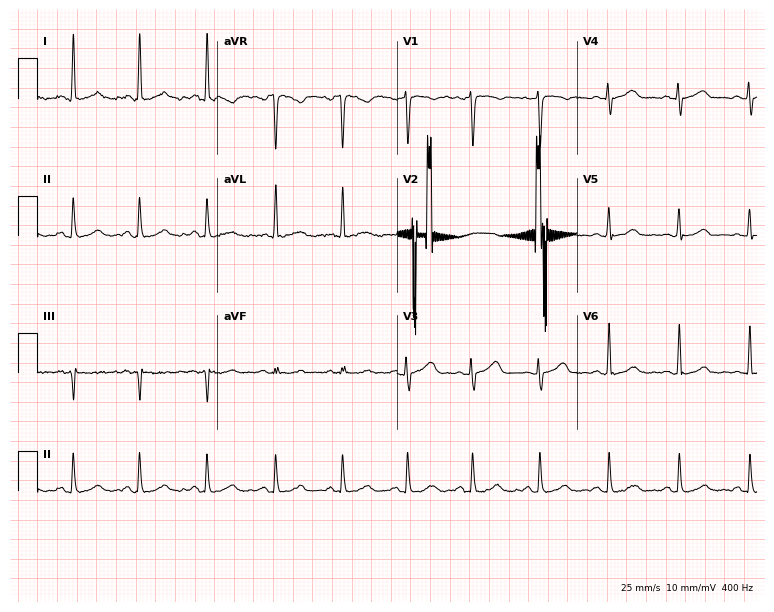
Electrocardiogram, a woman, 46 years old. Of the six screened findings (first-degree AV block, right bundle branch block, left bundle branch block, sinus bradycardia, atrial fibrillation, sinus tachycardia), none is recorded. Other findings, if any, are not listed.